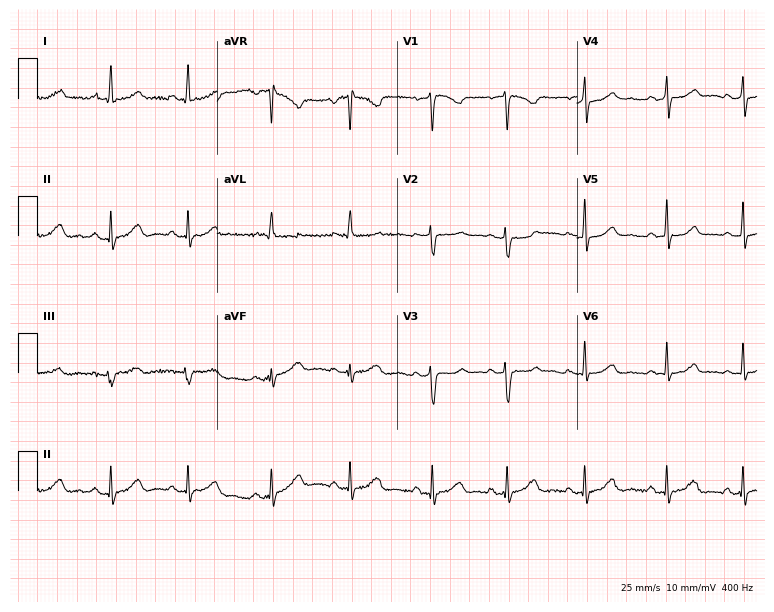
Resting 12-lead electrocardiogram (7.3-second recording at 400 Hz). Patient: a female, 50 years old. Read as a normal ECG.